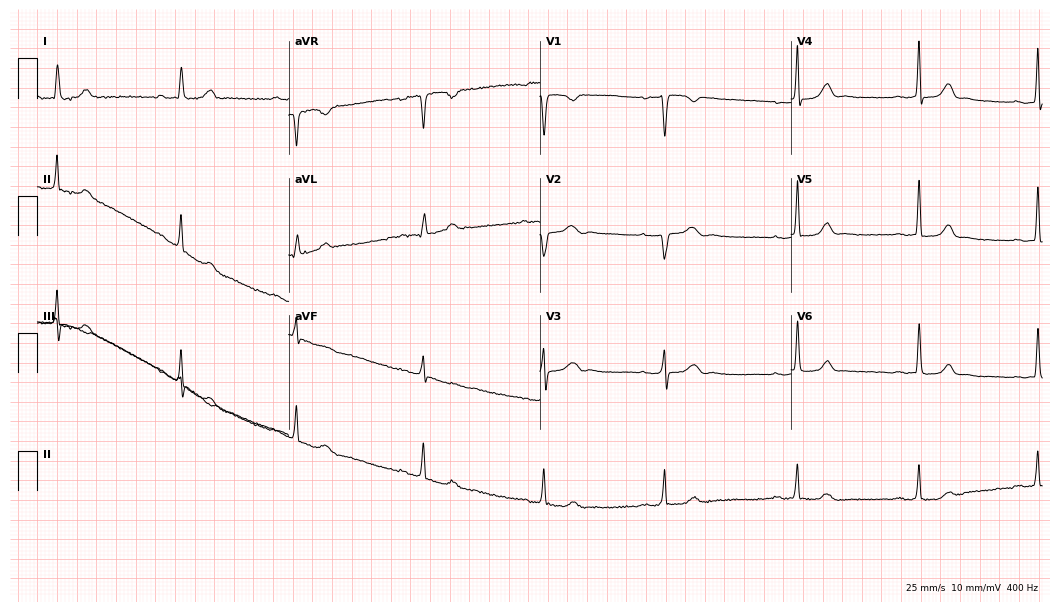
12-lead ECG from a 30-year-old woman (10.2-second recording at 400 Hz). No first-degree AV block, right bundle branch block, left bundle branch block, sinus bradycardia, atrial fibrillation or sinus tachycardia recorded for this tracing.